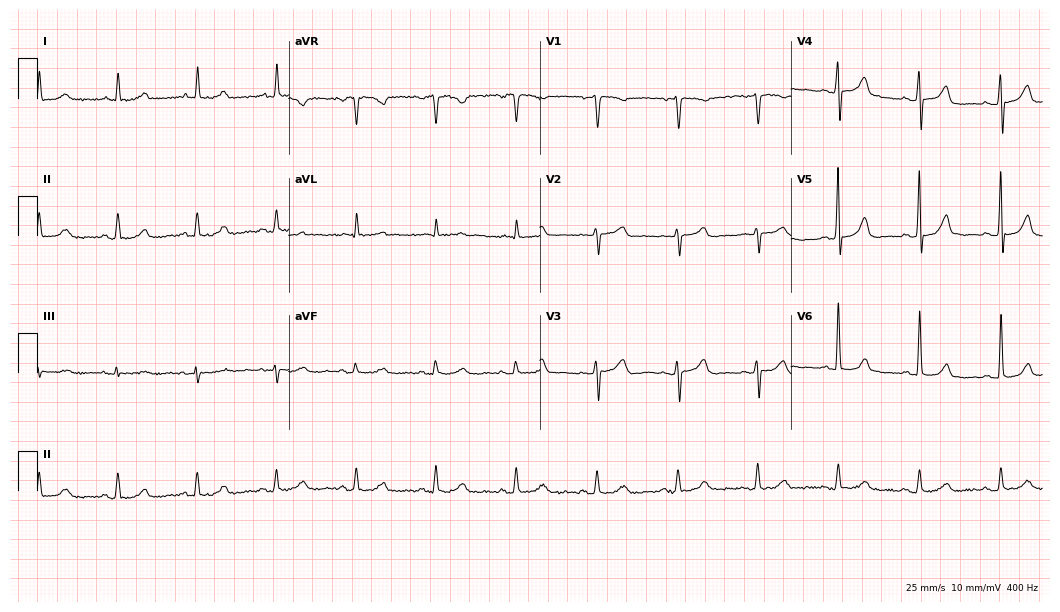
ECG — a 68-year-old male. Labelled as a normal ECG.